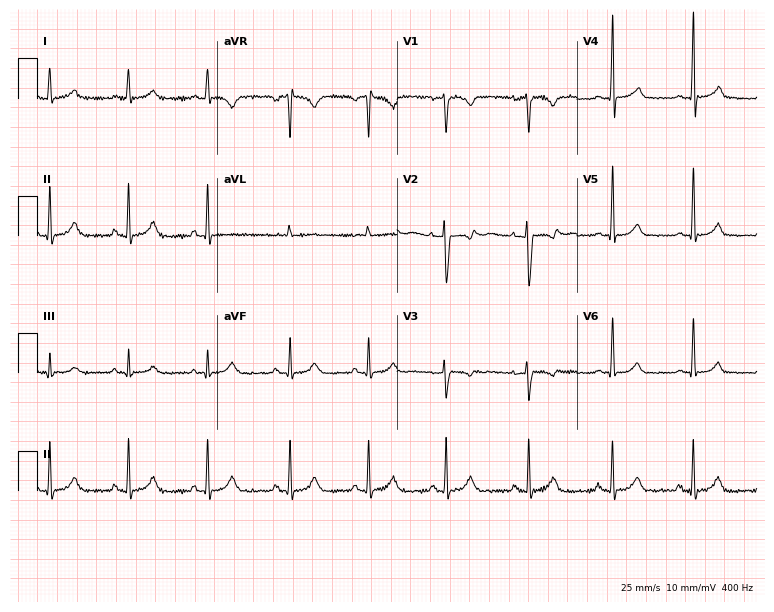
Electrocardiogram, a female, 26 years old. Overall reading on record: normal ECG.